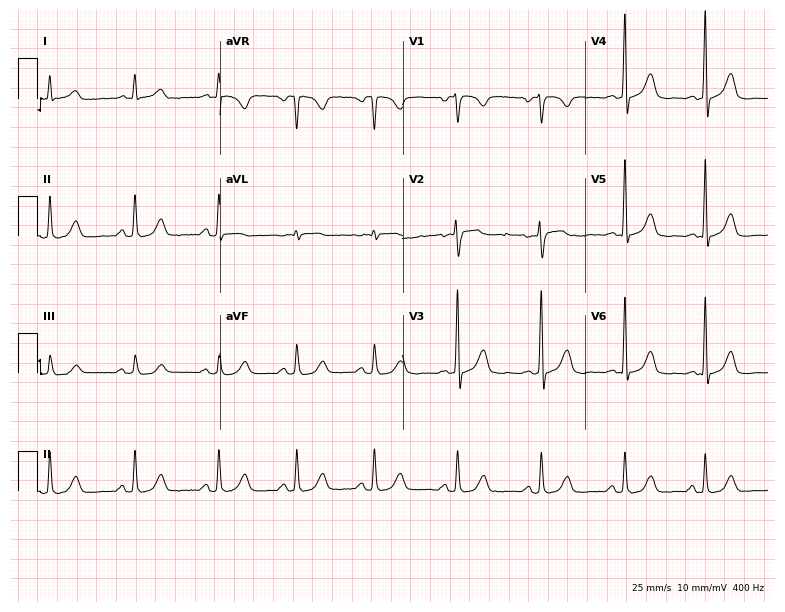
12-lead ECG from a woman, 38 years old (7.4-second recording at 400 Hz). Recorded interpretation: within normal limits.